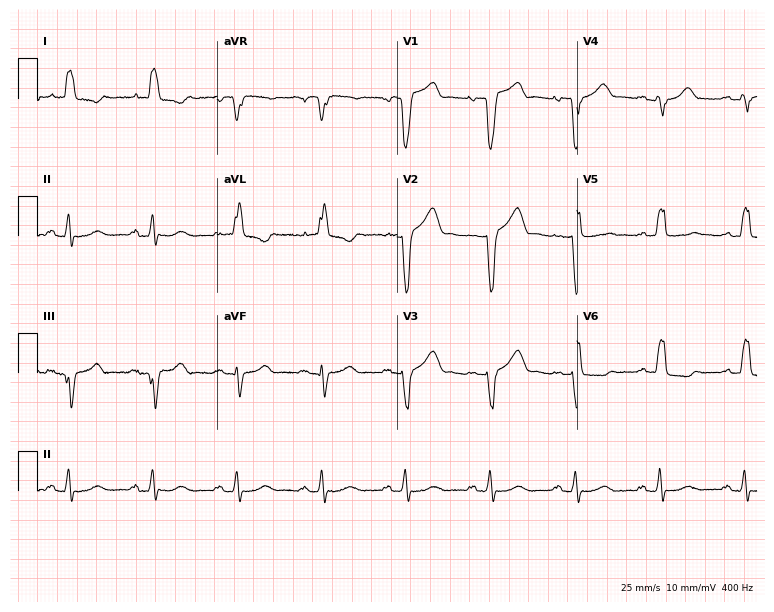
Electrocardiogram, a 77-year-old female patient. Interpretation includes left bundle branch block (LBBB).